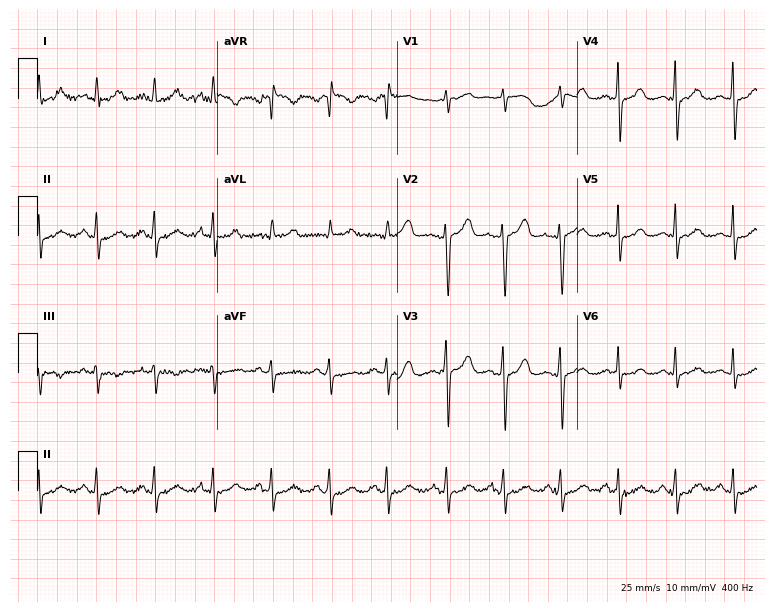
Resting 12-lead electrocardiogram (7.3-second recording at 400 Hz). Patient: a female, 40 years old. Read as a normal ECG.